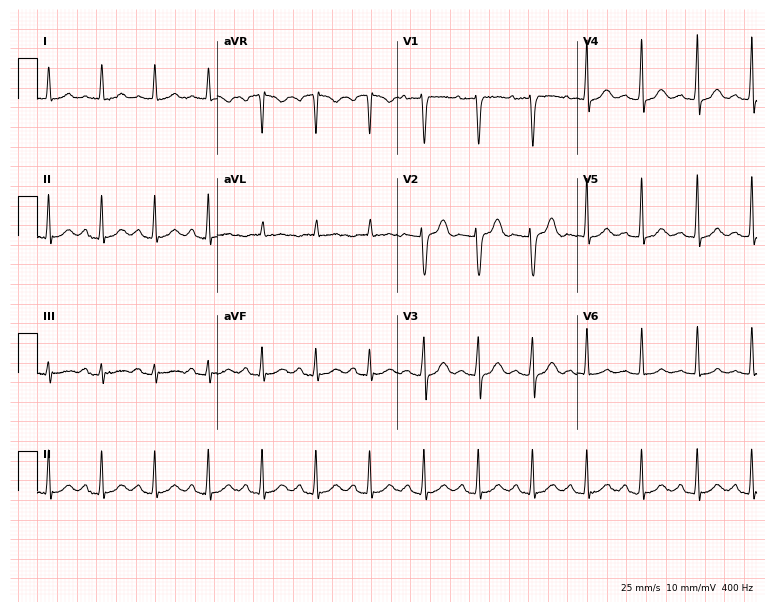
ECG (7.3-second recording at 400 Hz) — a female, 27 years old. Findings include sinus tachycardia (a sinus rate of 100 beats per minute or more).